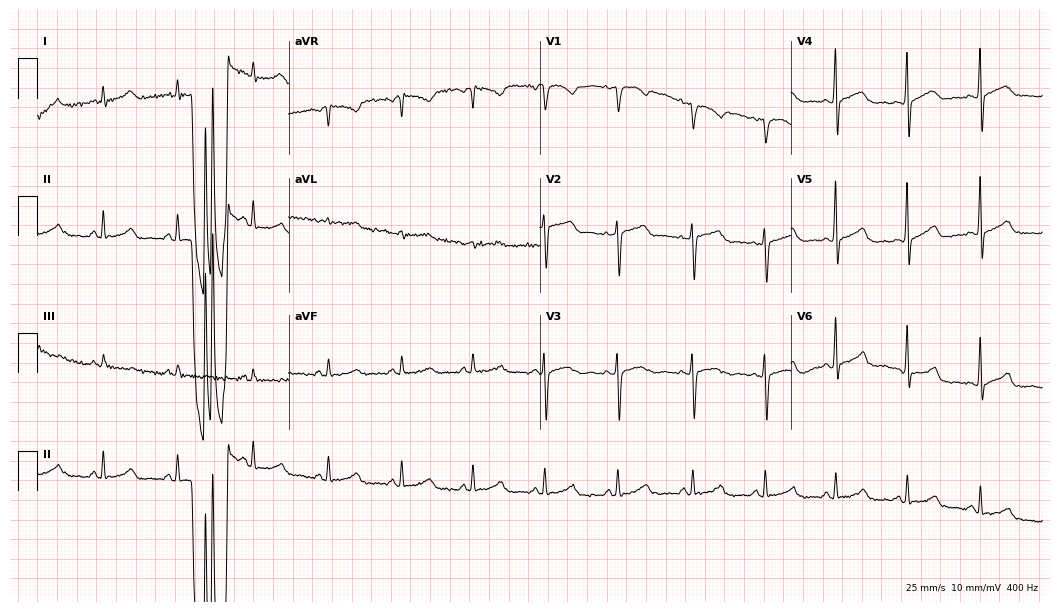
12-lead ECG (10.2-second recording at 400 Hz) from a woman, 48 years old. Labelled as a normal ECG.